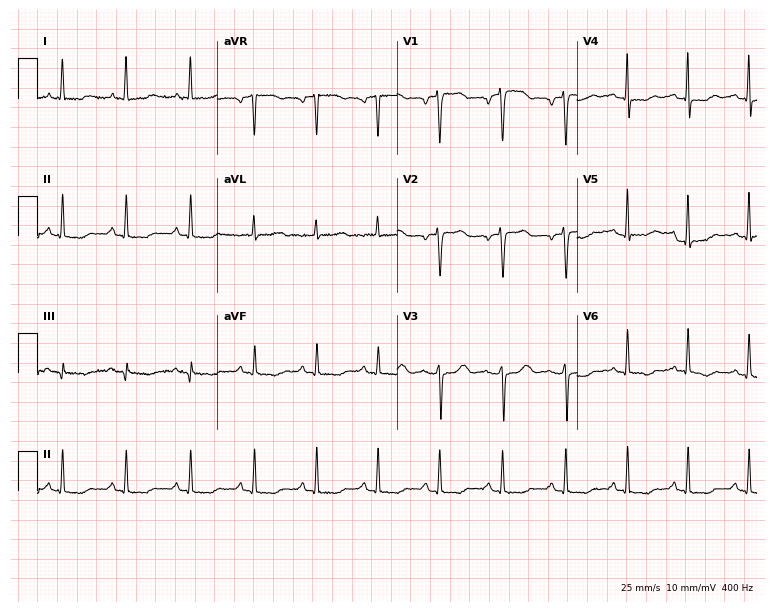
ECG — a woman, 33 years old. Screened for six findings — first-degree AV block, right bundle branch block (RBBB), left bundle branch block (LBBB), sinus bradycardia, atrial fibrillation (AF), sinus tachycardia — none is recorded.